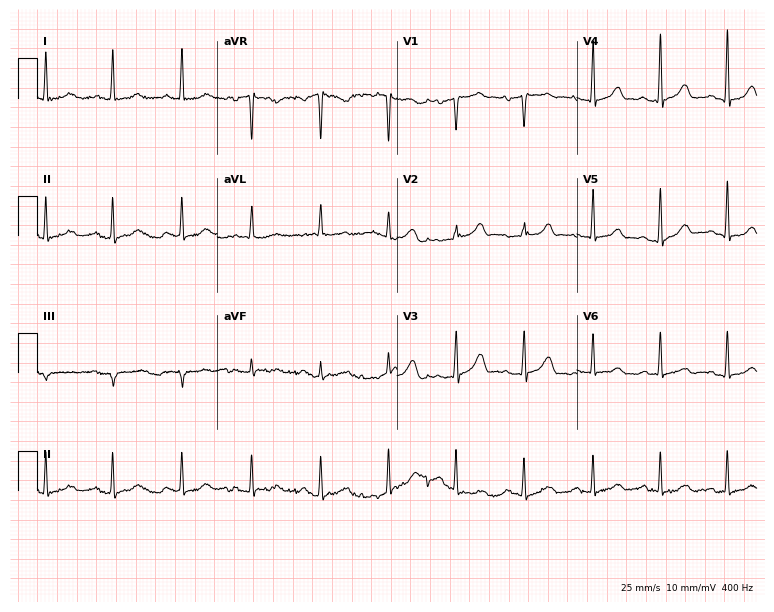
Standard 12-lead ECG recorded from a 71-year-old female patient (7.3-second recording at 400 Hz). Read as a normal ECG.